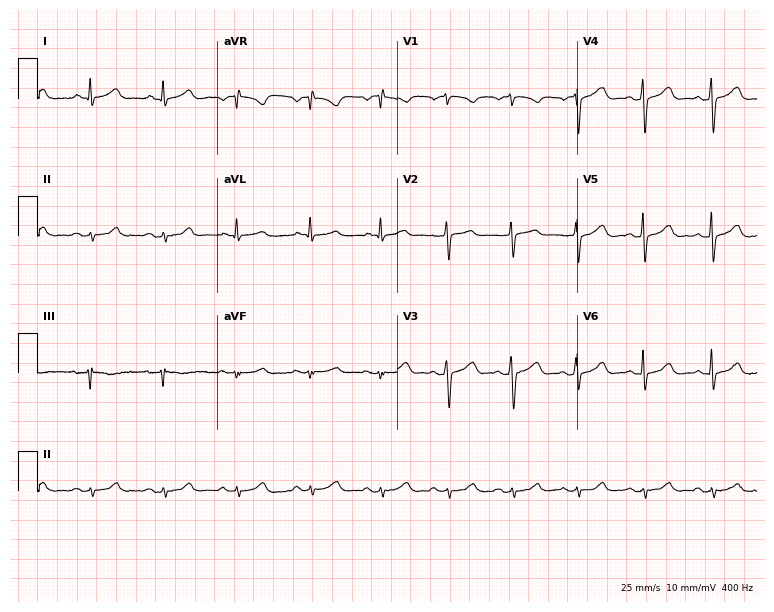
Resting 12-lead electrocardiogram (7.3-second recording at 400 Hz). Patient: a 40-year-old man. Read as a normal ECG.